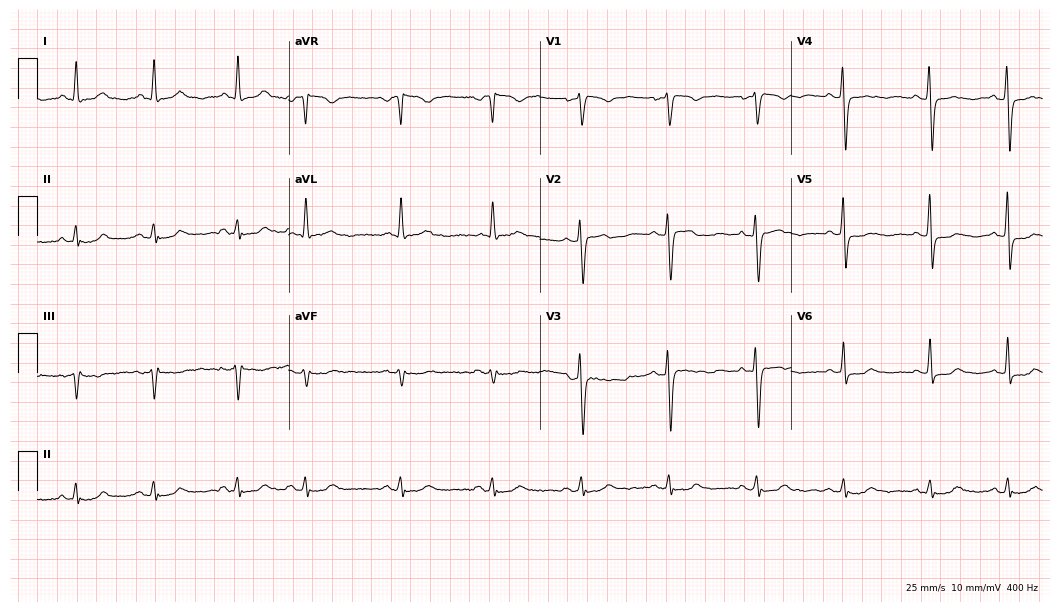
ECG (10.2-second recording at 400 Hz) — a female, 80 years old. Screened for six findings — first-degree AV block, right bundle branch block, left bundle branch block, sinus bradycardia, atrial fibrillation, sinus tachycardia — none is recorded. Findings outside these six are not listed.